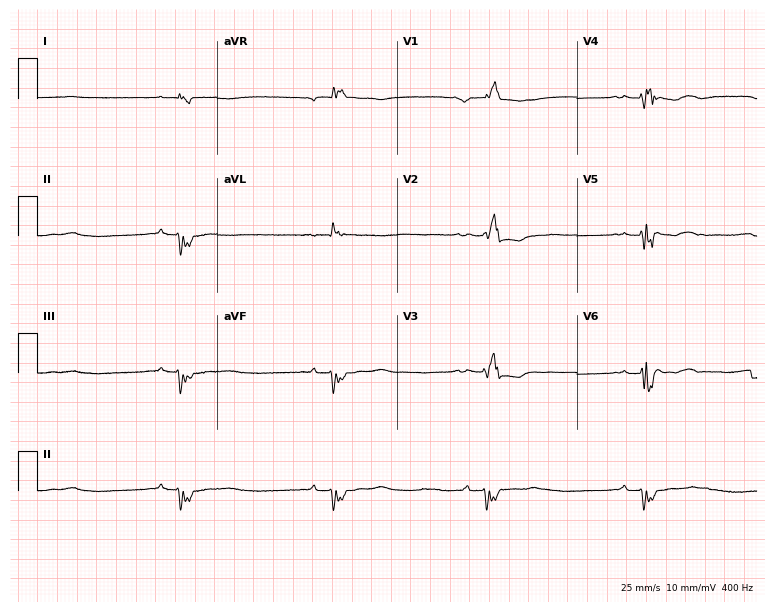
12-lead ECG from a man, 54 years old (7.3-second recording at 400 Hz). Shows first-degree AV block, right bundle branch block, sinus bradycardia (a sinus rate of 50 beats per minute or less).